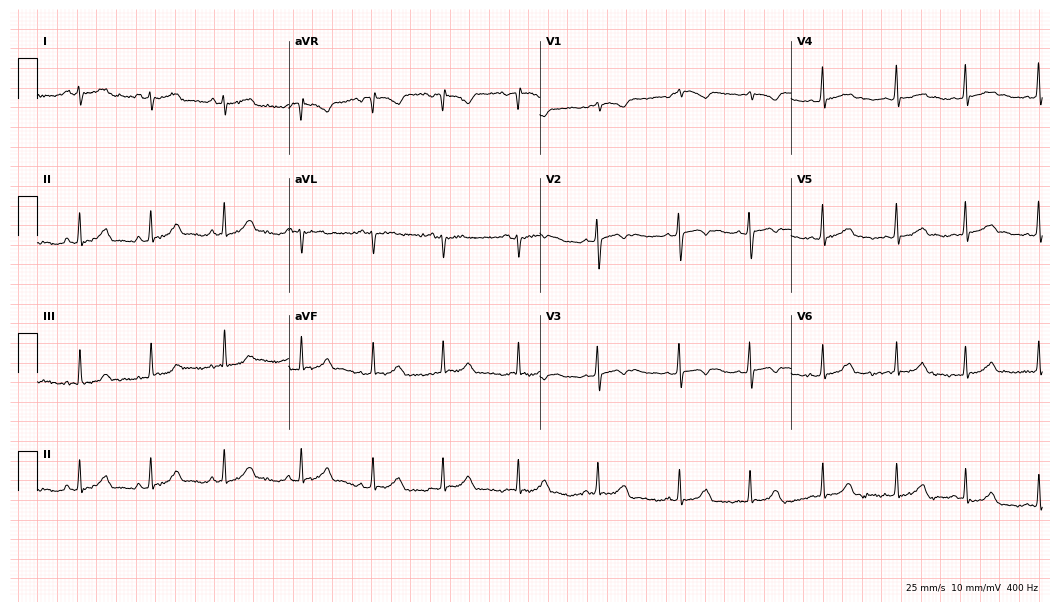
ECG — an 18-year-old female patient. Screened for six findings — first-degree AV block, right bundle branch block, left bundle branch block, sinus bradycardia, atrial fibrillation, sinus tachycardia — none is recorded. Only these six findings were labelled.